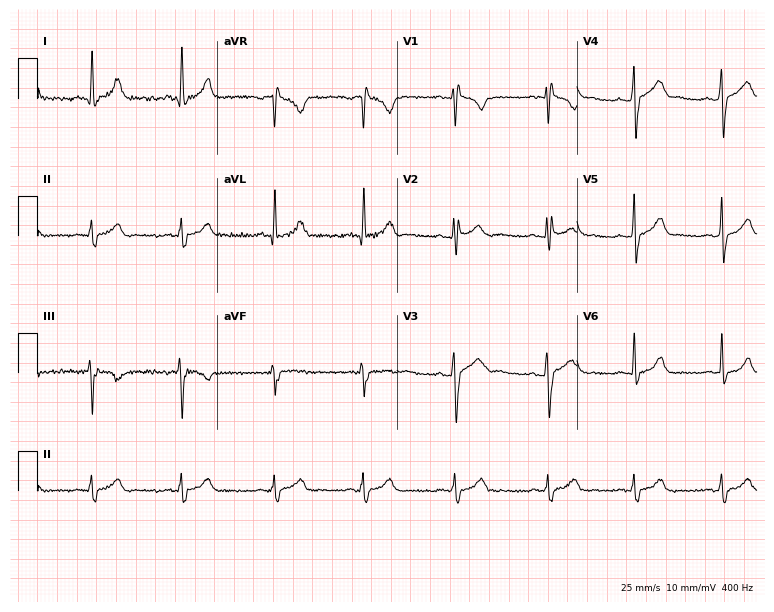
Resting 12-lead electrocardiogram. Patient: a male, 28 years old. None of these six findings is recorded: first-degree AV block, right bundle branch block, left bundle branch block, sinus bradycardia, atrial fibrillation, sinus tachycardia. Findings outside these six are not listed.